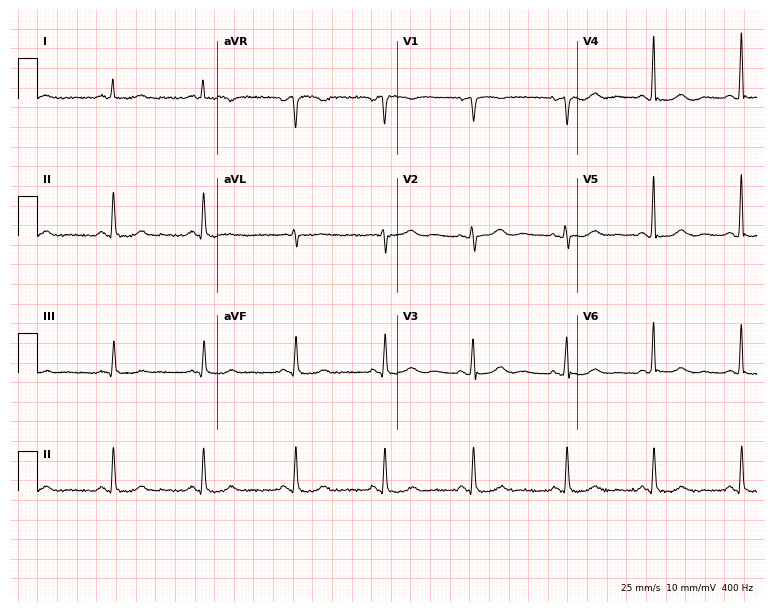
Electrocardiogram (7.3-second recording at 400 Hz), an 85-year-old female patient. Overall reading on record: normal ECG.